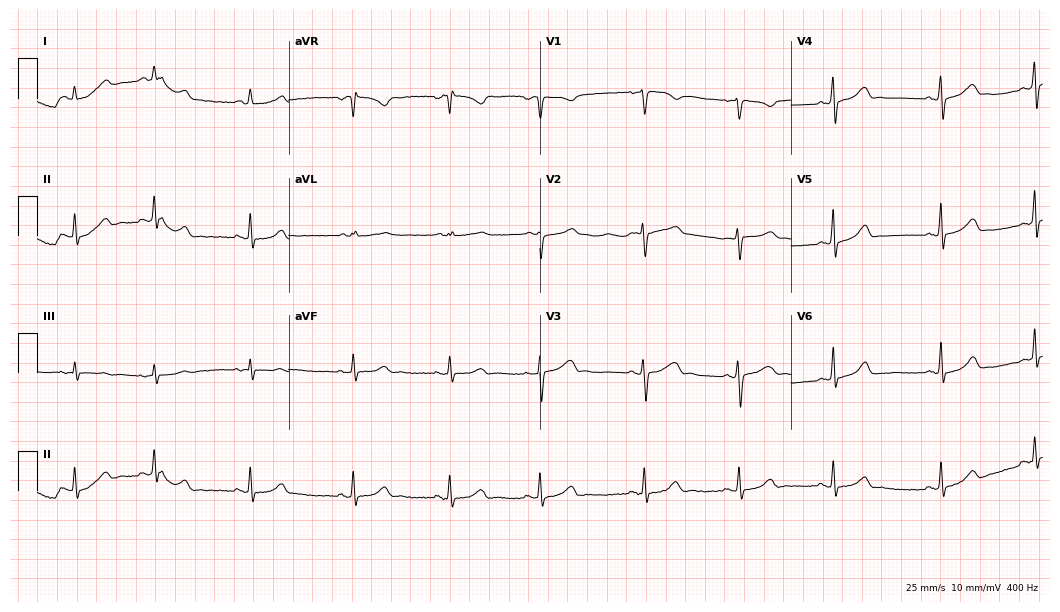
Resting 12-lead electrocardiogram. Patient: a 22-year-old female. Read as a normal ECG.